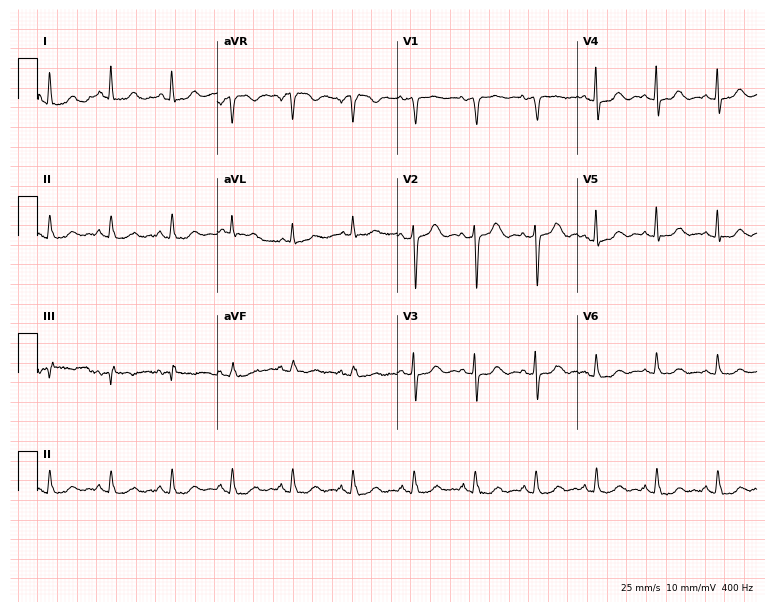
Resting 12-lead electrocardiogram. Patient: a woman, 73 years old. None of these six findings is recorded: first-degree AV block, right bundle branch block, left bundle branch block, sinus bradycardia, atrial fibrillation, sinus tachycardia.